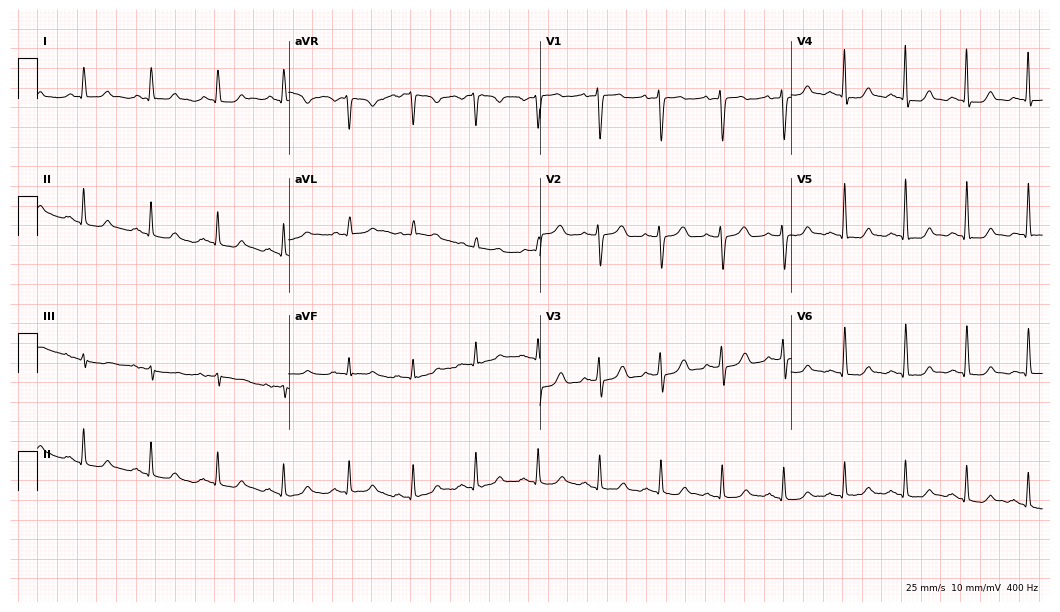
Electrocardiogram, a woman, 69 years old. Of the six screened findings (first-degree AV block, right bundle branch block, left bundle branch block, sinus bradycardia, atrial fibrillation, sinus tachycardia), none is recorded.